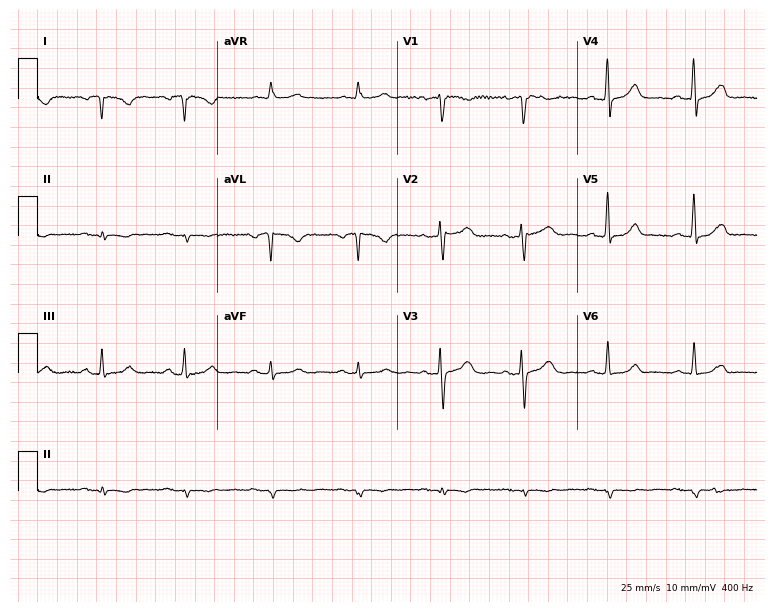
Electrocardiogram, a female patient, 59 years old. Of the six screened findings (first-degree AV block, right bundle branch block, left bundle branch block, sinus bradycardia, atrial fibrillation, sinus tachycardia), none is recorded.